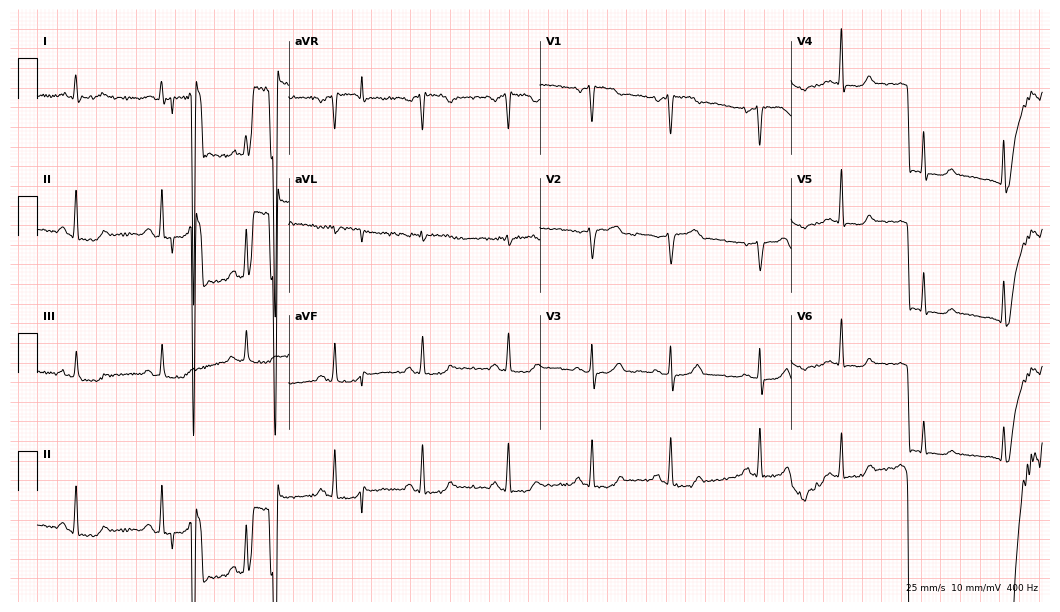
Resting 12-lead electrocardiogram (10.2-second recording at 400 Hz). Patient: a 51-year-old female. None of these six findings is recorded: first-degree AV block, right bundle branch block, left bundle branch block, sinus bradycardia, atrial fibrillation, sinus tachycardia.